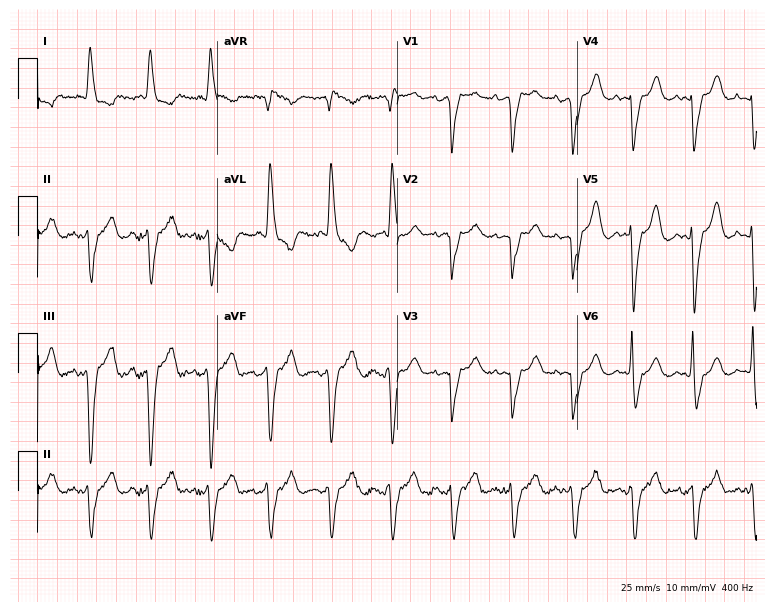
12-lead ECG from a woman, 83 years old. Screened for six findings — first-degree AV block, right bundle branch block, left bundle branch block, sinus bradycardia, atrial fibrillation, sinus tachycardia — none is recorded. Only these six findings were labelled.